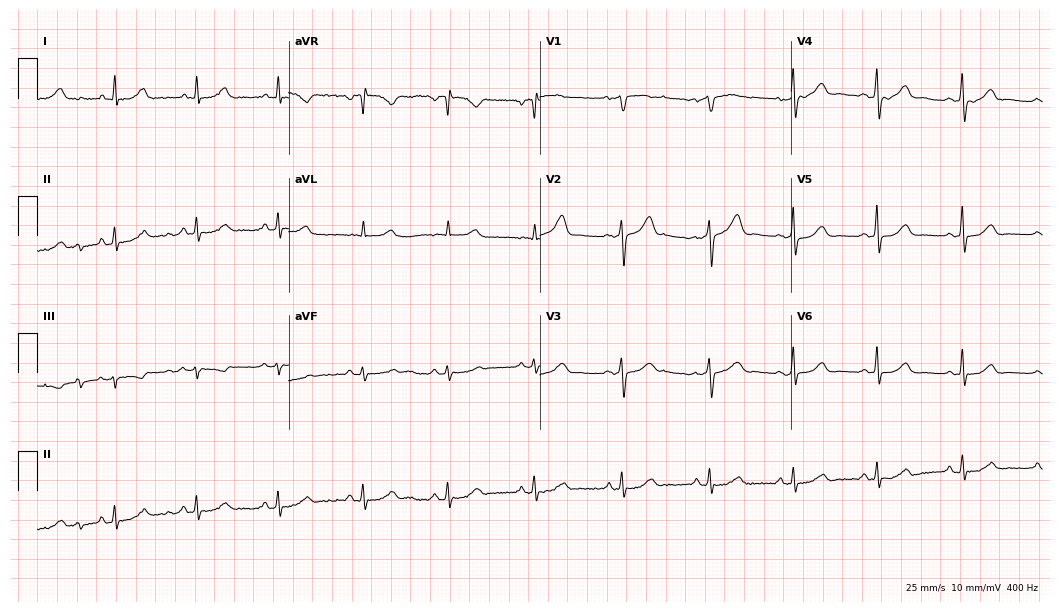
Standard 12-lead ECG recorded from a female, 49 years old (10.2-second recording at 400 Hz). Read as a normal ECG.